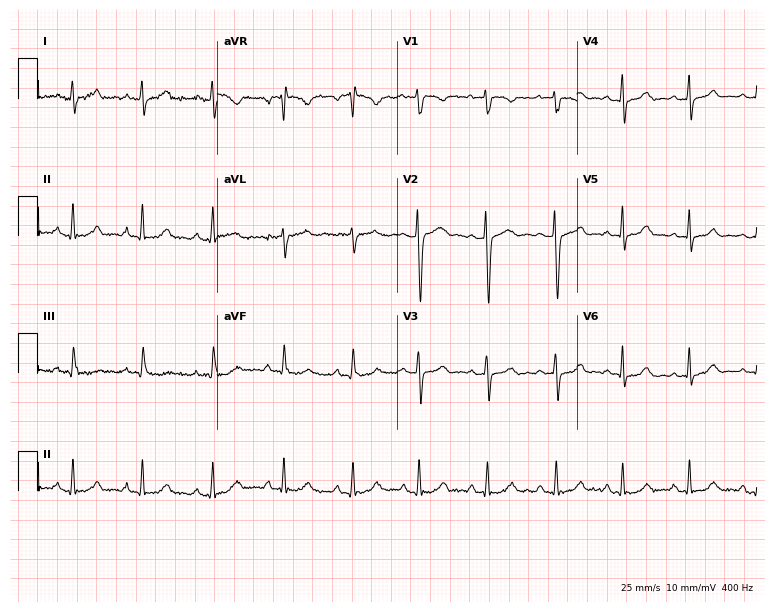
12-lead ECG from a female, 28 years old (7.3-second recording at 400 Hz). Recorded interpretation: within normal limits.